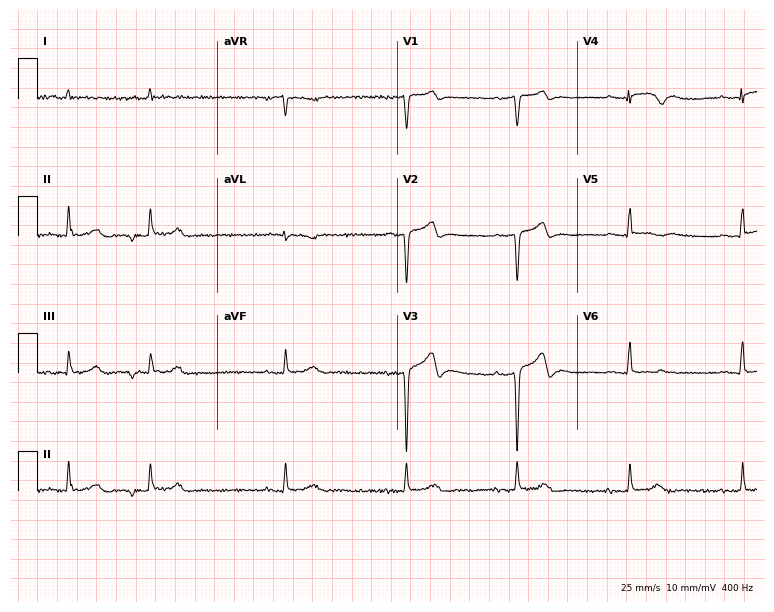
12-lead ECG from a male patient, 64 years old (7.3-second recording at 400 Hz). No first-degree AV block, right bundle branch block, left bundle branch block, sinus bradycardia, atrial fibrillation or sinus tachycardia recorded for this tracing. Only these six findings were labelled.